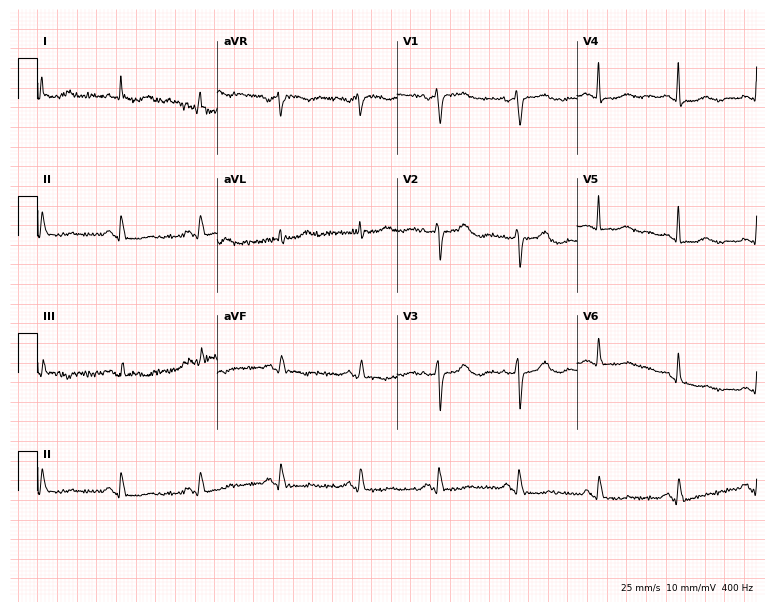
12-lead ECG from a female, 72 years old (7.3-second recording at 400 Hz). No first-degree AV block, right bundle branch block (RBBB), left bundle branch block (LBBB), sinus bradycardia, atrial fibrillation (AF) or sinus tachycardia recorded for this tracing. Only these six findings were labelled.